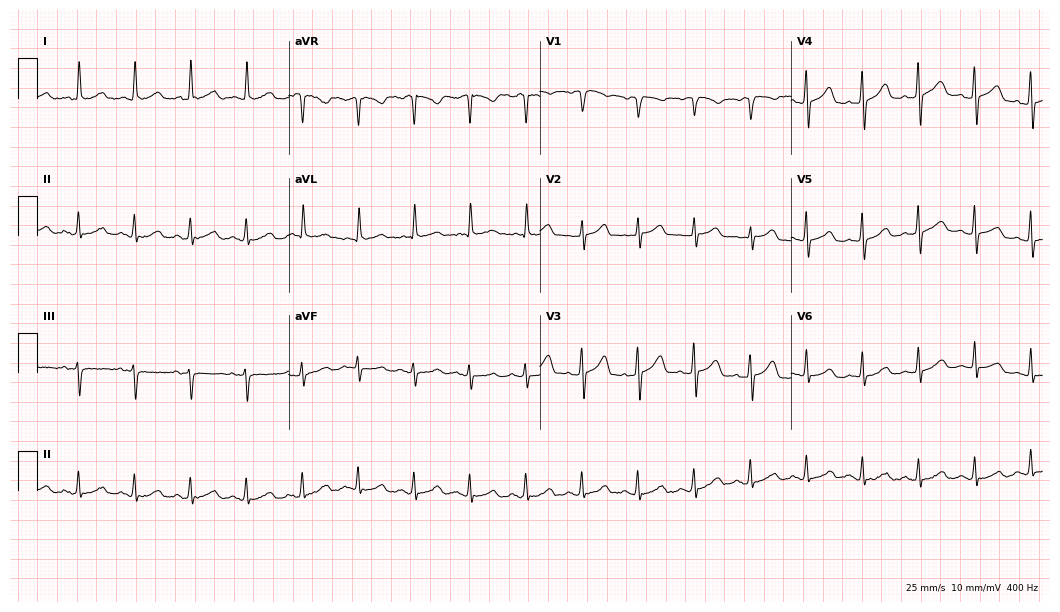
12-lead ECG from a 70-year-old female patient. Shows sinus tachycardia (a sinus rate of 100 beats per minute or more).